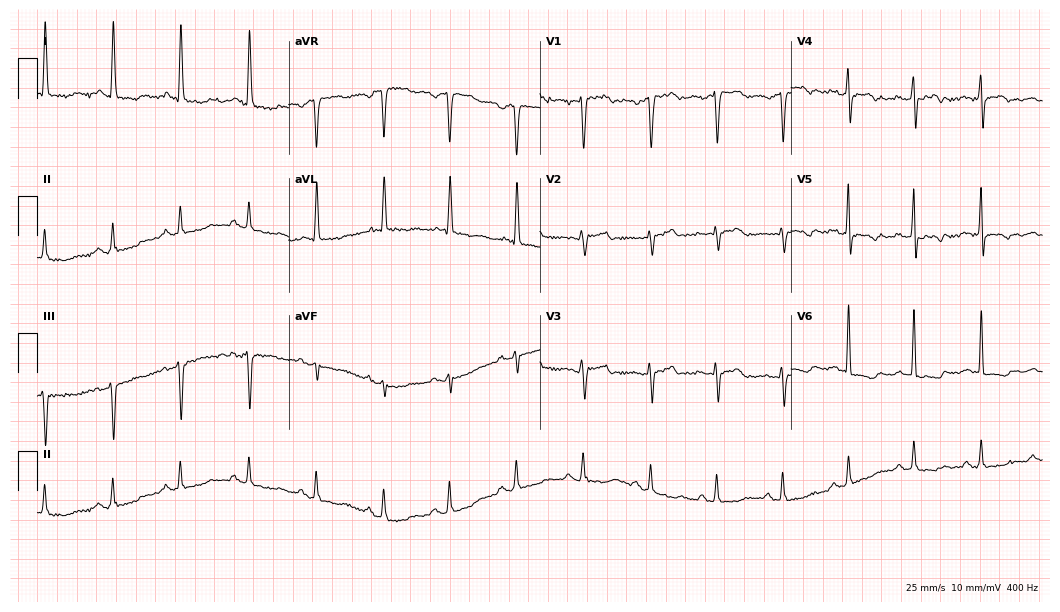
12-lead ECG (10.2-second recording at 400 Hz) from a 77-year-old female. Screened for six findings — first-degree AV block, right bundle branch block (RBBB), left bundle branch block (LBBB), sinus bradycardia, atrial fibrillation (AF), sinus tachycardia — none is recorded.